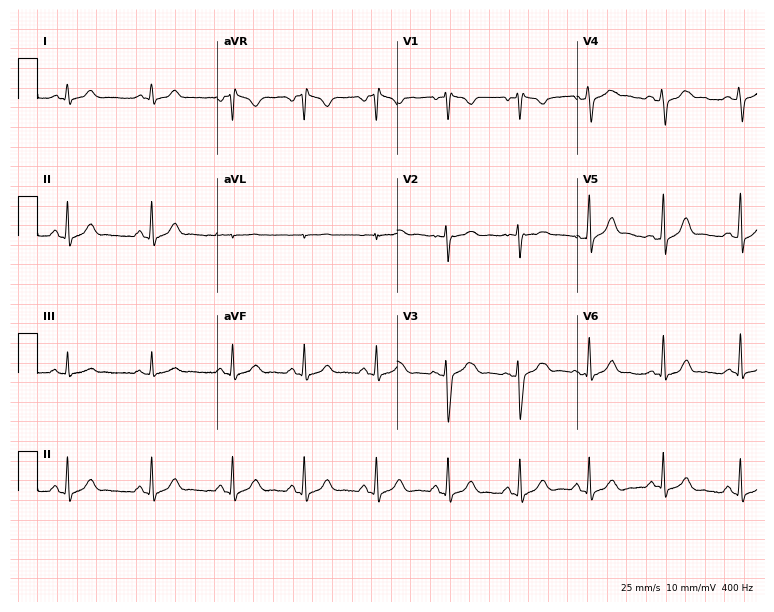
Resting 12-lead electrocardiogram. Patient: a female, 24 years old. Read as a normal ECG.